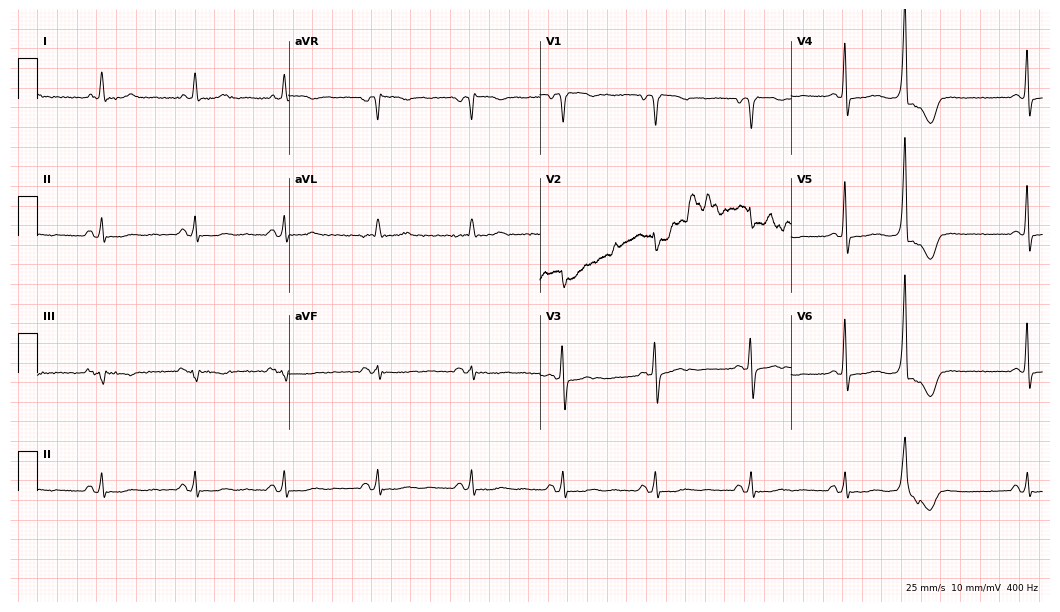
12-lead ECG from a female patient, 73 years old. Screened for six findings — first-degree AV block, right bundle branch block, left bundle branch block, sinus bradycardia, atrial fibrillation, sinus tachycardia — none is recorded.